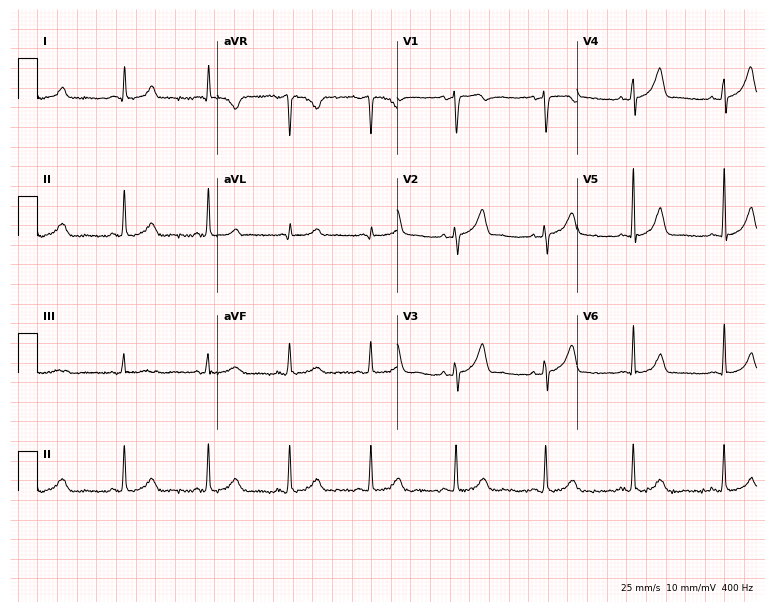
12-lead ECG from a 46-year-old female. Labelled as a normal ECG.